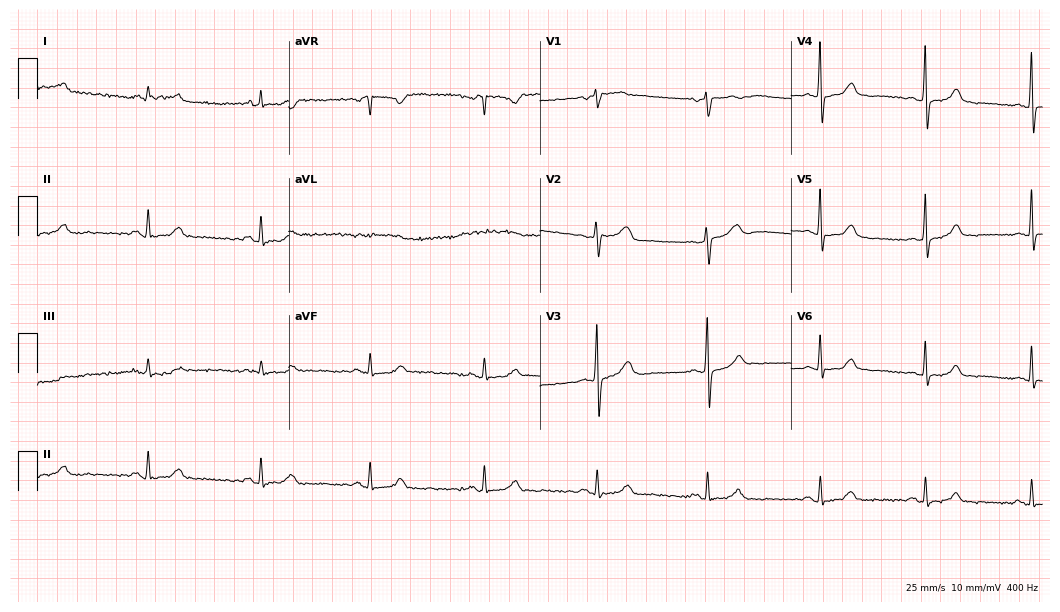
Electrocardiogram, a female patient, 48 years old. Overall reading on record: normal ECG.